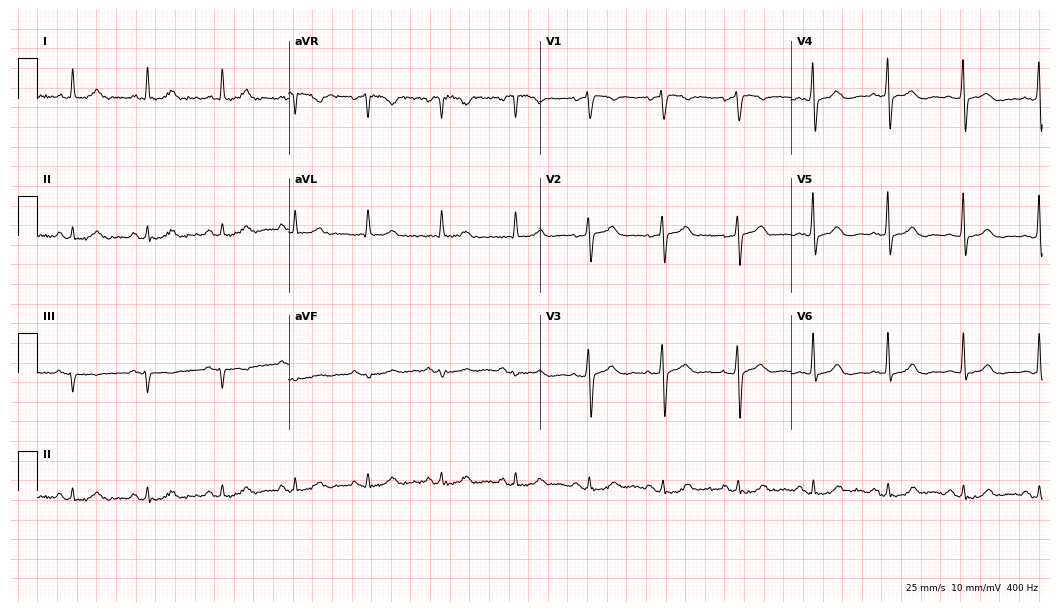
12-lead ECG from a male patient, 66 years old. Labelled as a normal ECG.